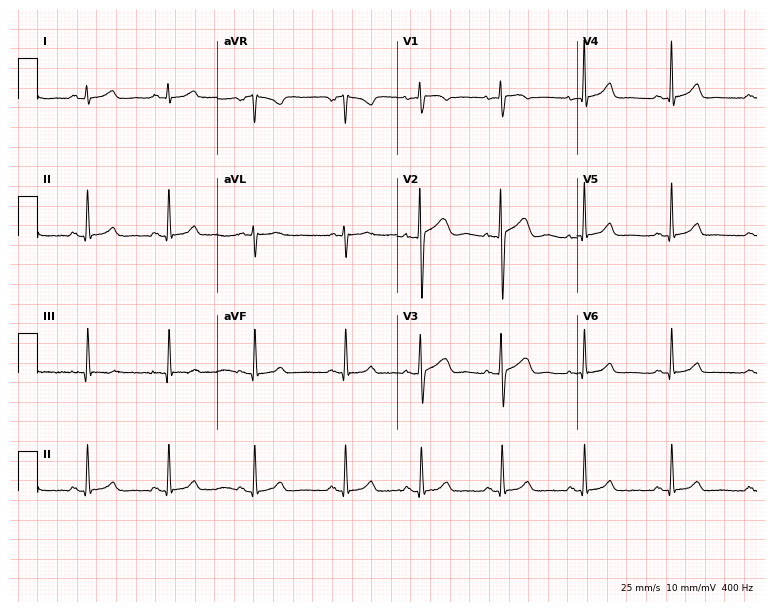
ECG (7.3-second recording at 400 Hz) — a 32-year-old female patient. Labelled as a normal ECG.